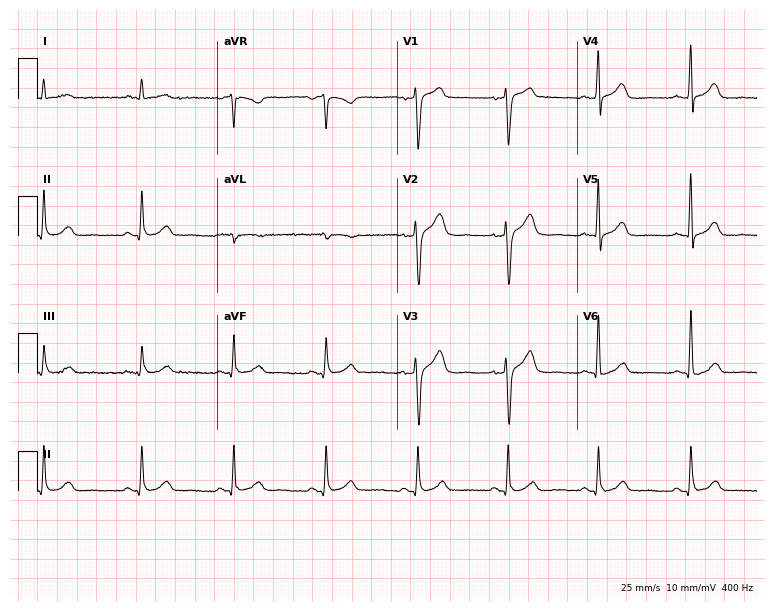
Resting 12-lead electrocardiogram (7.3-second recording at 400 Hz). Patient: a 46-year-old female. None of these six findings is recorded: first-degree AV block, right bundle branch block (RBBB), left bundle branch block (LBBB), sinus bradycardia, atrial fibrillation (AF), sinus tachycardia.